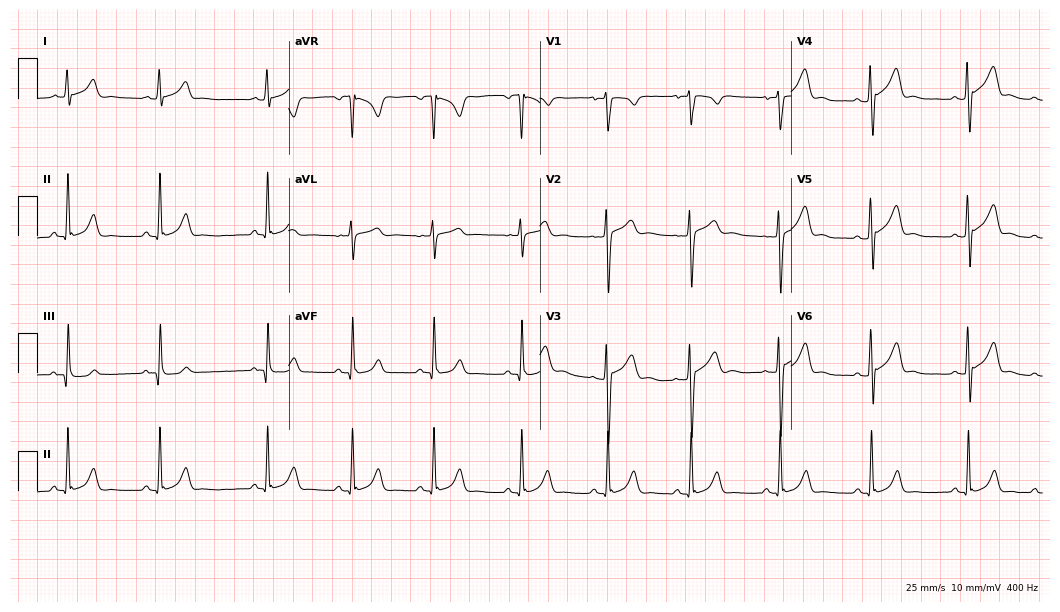
12-lead ECG from a male patient, 17 years old. Labelled as a normal ECG.